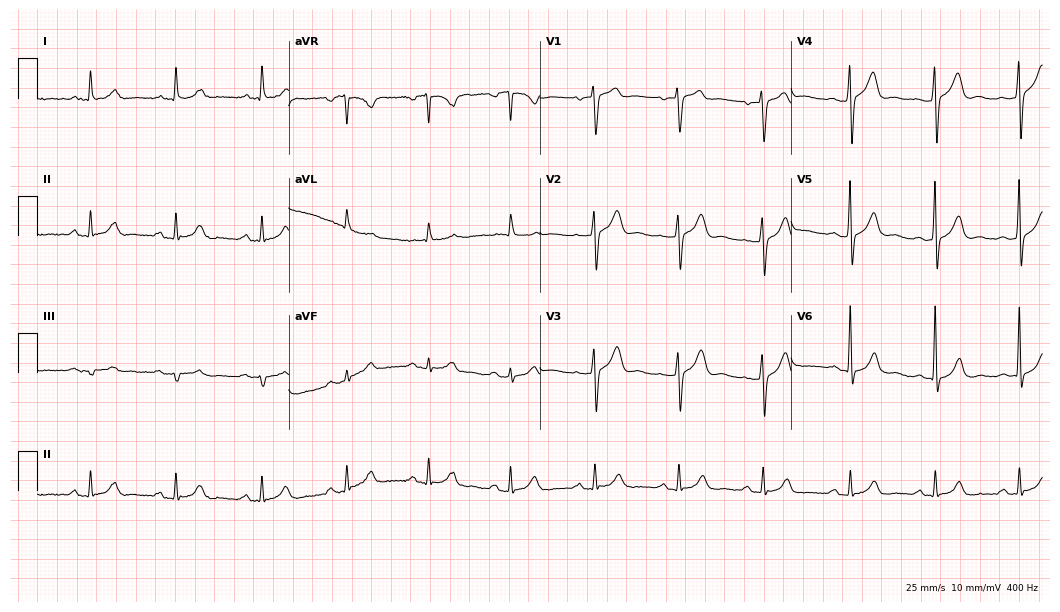
12-lead ECG from a man, 58 years old. Recorded interpretation: within normal limits.